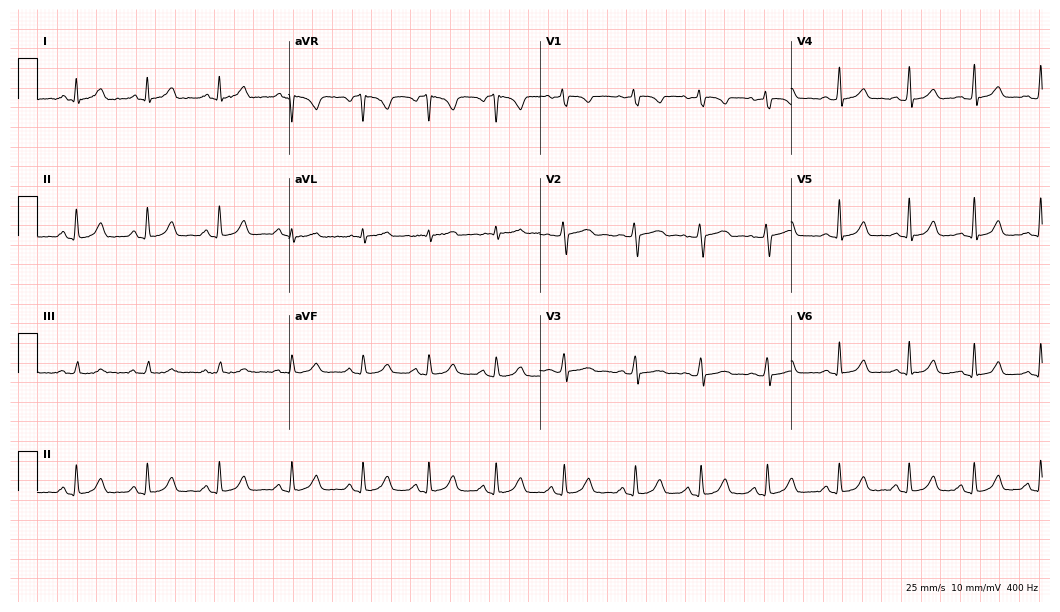
12-lead ECG (10.2-second recording at 400 Hz) from a 37-year-old female patient. Screened for six findings — first-degree AV block, right bundle branch block (RBBB), left bundle branch block (LBBB), sinus bradycardia, atrial fibrillation (AF), sinus tachycardia — none is recorded. Findings outside these six are not listed.